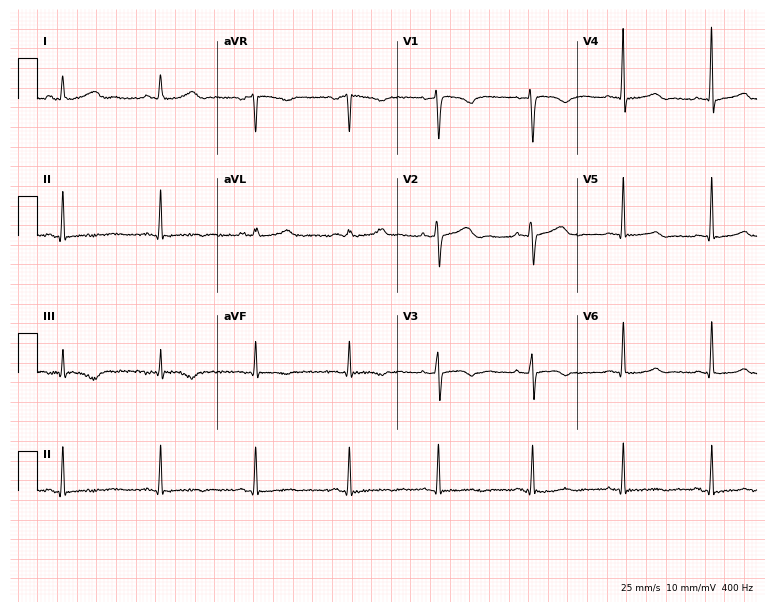
Electrocardiogram (7.3-second recording at 400 Hz), a 53-year-old woman. Of the six screened findings (first-degree AV block, right bundle branch block, left bundle branch block, sinus bradycardia, atrial fibrillation, sinus tachycardia), none is recorded. Findings outside these six are not listed.